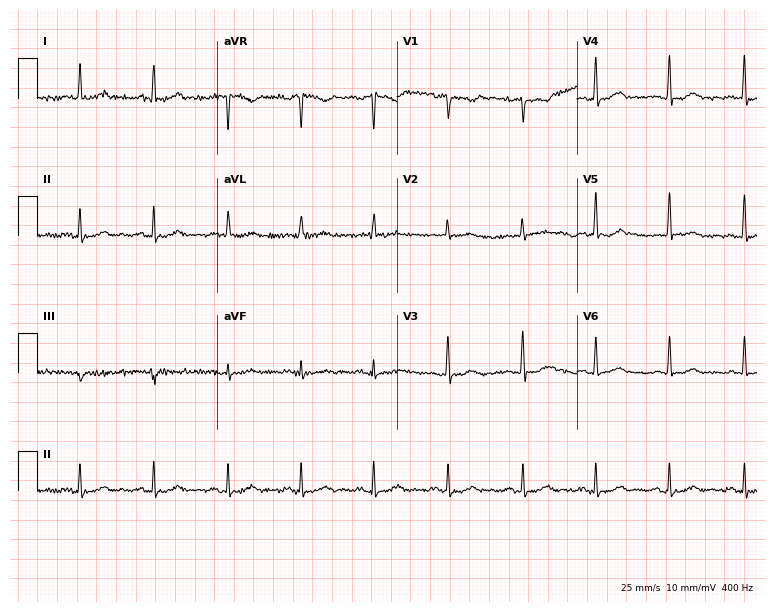
ECG (7.3-second recording at 400 Hz) — a woman, 64 years old. Screened for six findings — first-degree AV block, right bundle branch block, left bundle branch block, sinus bradycardia, atrial fibrillation, sinus tachycardia — none is recorded.